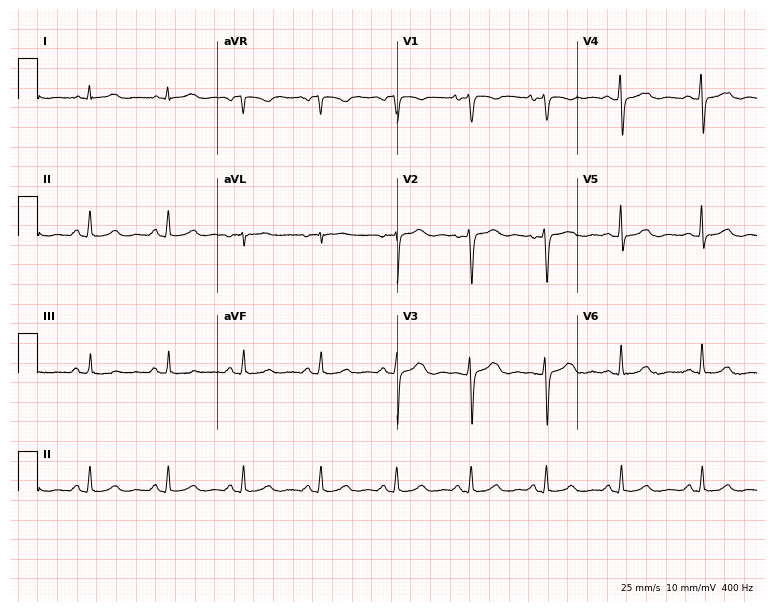
12-lead ECG from a 20-year-old female (7.3-second recording at 400 Hz). Recorded interpretation: within normal limits.